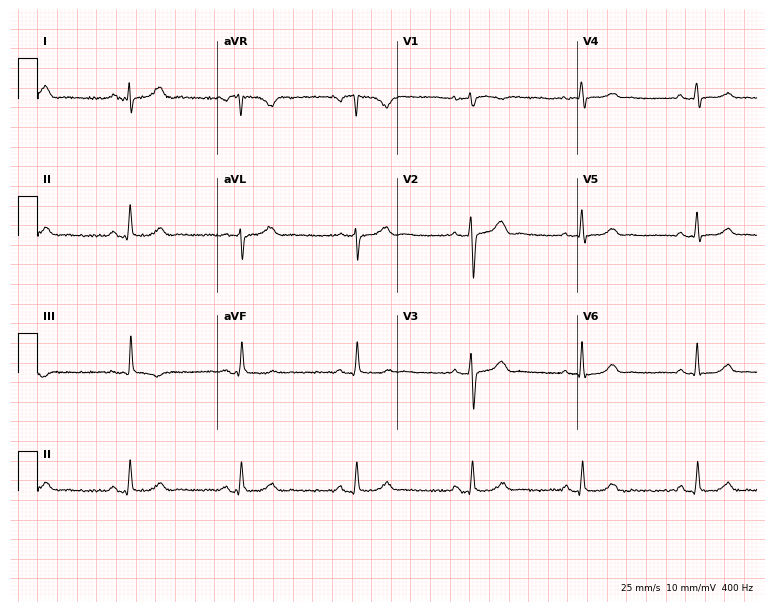
ECG (7.3-second recording at 400 Hz) — a 52-year-old female. Screened for six findings — first-degree AV block, right bundle branch block (RBBB), left bundle branch block (LBBB), sinus bradycardia, atrial fibrillation (AF), sinus tachycardia — none is recorded.